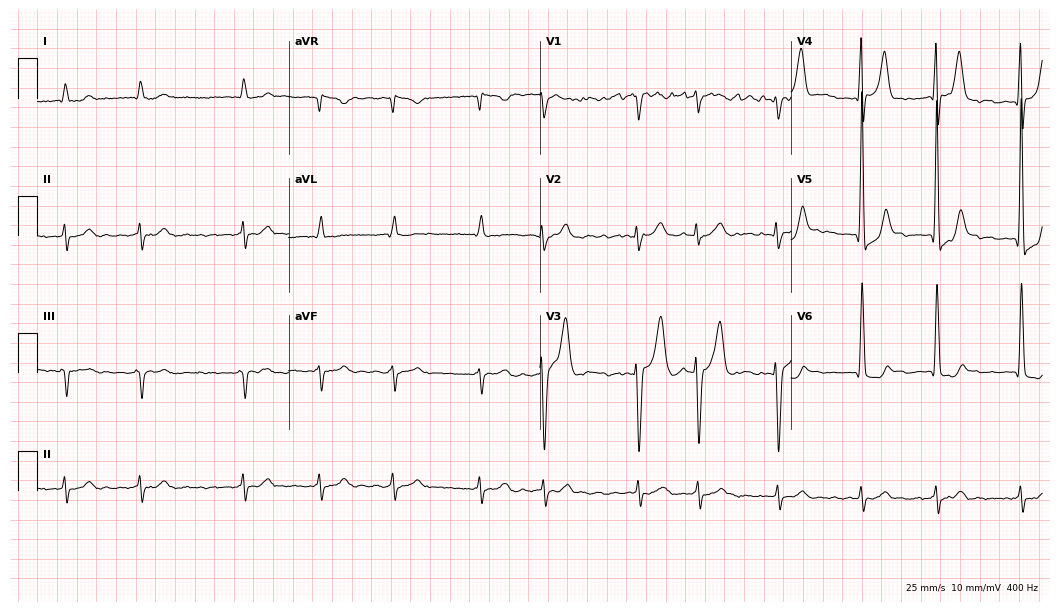
Resting 12-lead electrocardiogram. Patient: a 52-year-old male. The tracing shows atrial fibrillation.